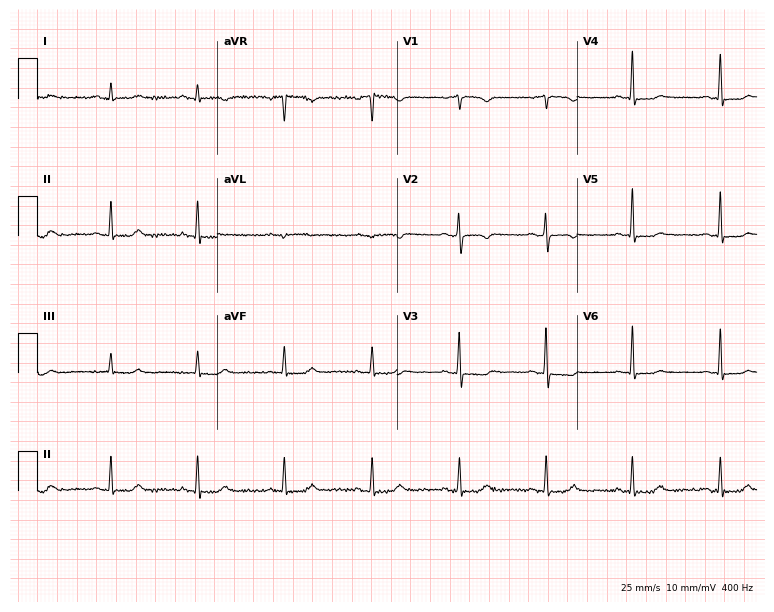
12-lead ECG (7.3-second recording at 400 Hz) from a female, 54 years old. Screened for six findings — first-degree AV block, right bundle branch block, left bundle branch block, sinus bradycardia, atrial fibrillation, sinus tachycardia — none is recorded.